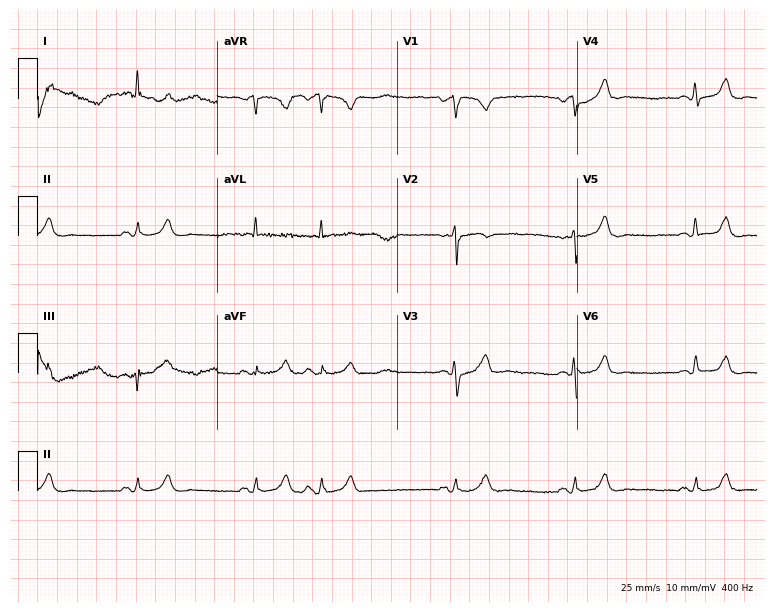
Resting 12-lead electrocardiogram (7.3-second recording at 400 Hz). Patient: a female, 84 years old. None of these six findings is recorded: first-degree AV block, right bundle branch block (RBBB), left bundle branch block (LBBB), sinus bradycardia, atrial fibrillation (AF), sinus tachycardia. Other findings, if any, are not listed.